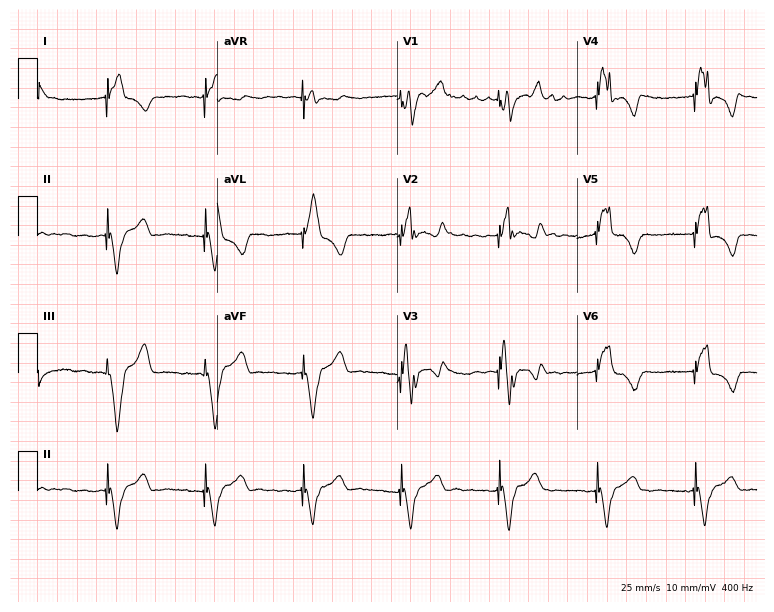
Electrocardiogram, a 59-year-old male. Of the six screened findings (first-degree AV block, right bundle branch block, left bundle branch block, sinus bradycardia, atrial fibrillation, sinus tachycardia), none is recorded. Only these six findings were labelled.